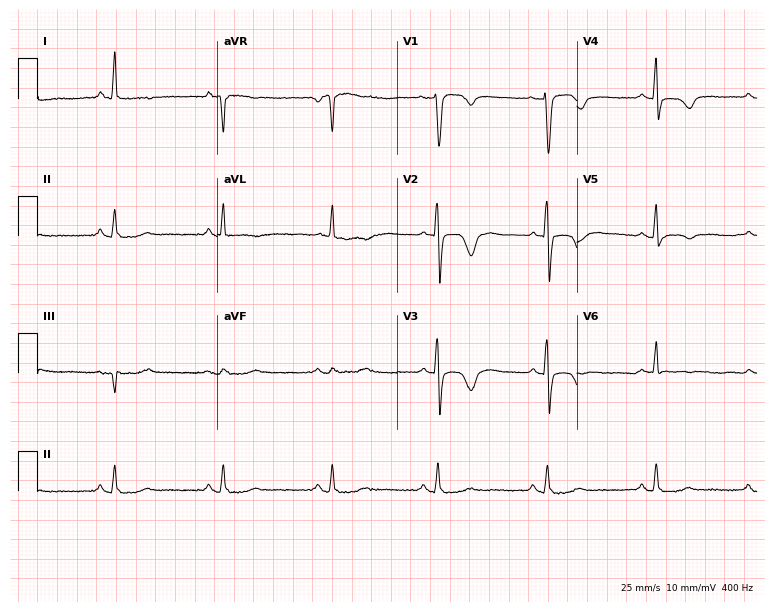
Resting 12-lead electrocardiogram. Patient: a female, 75 years old. Read as a normal ECG.